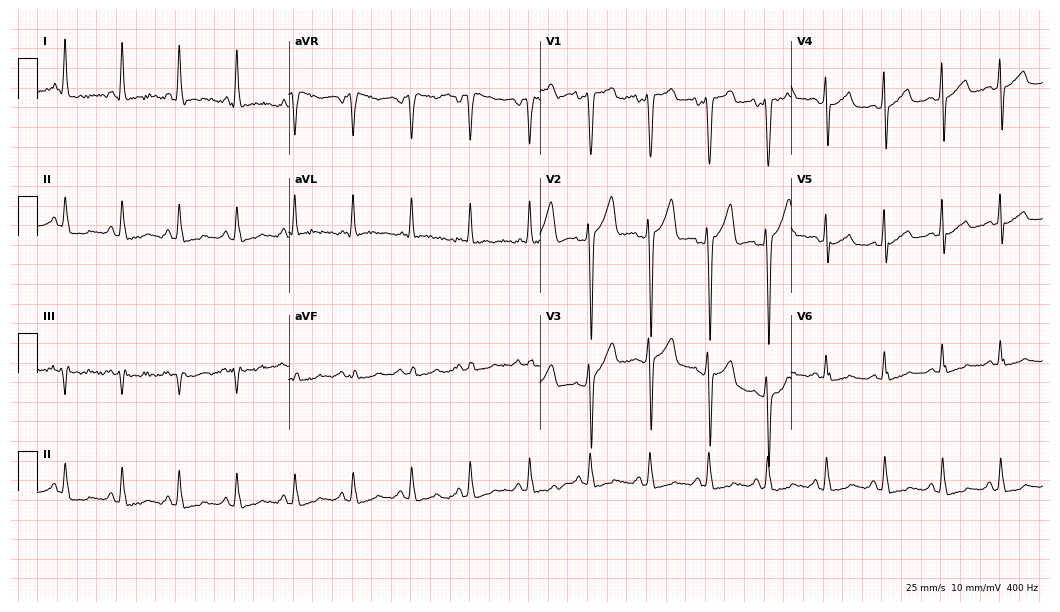
12-lead ECG from a female, 29 years old. Screened for six findings — first-degree AV block, right bundle branch block, left bundle branch block, sinus bradycardia, atrial fibrillation, sinus tachycardia — none is recorded.